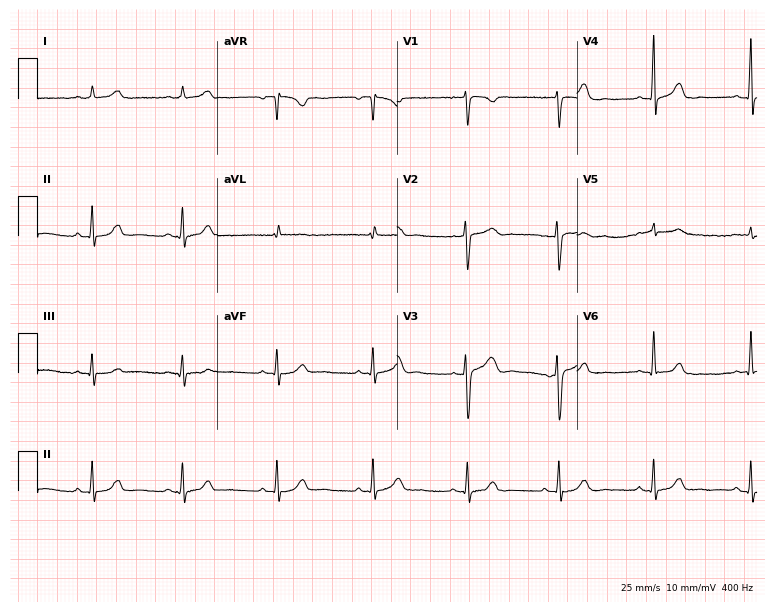
12-lead ECG from a 49-year-old female. Recorded interpretation: within normal limits.